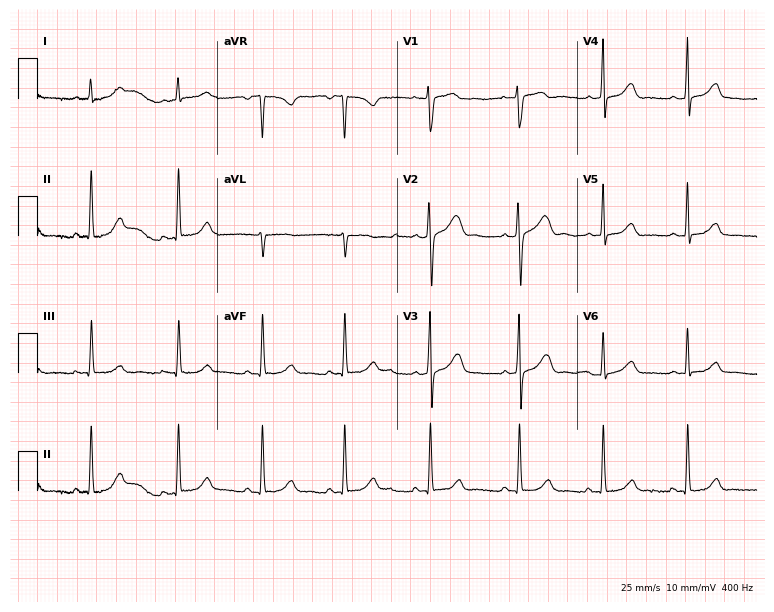
Standard 12-lead ECG recorded from a 25-year-old female (7.3-second recording at 400 Hz). None of these six findings is recorded: first-degree AV block, right bundle branch block (RBBB), left bundle branch block (LBBB), sinus bradycardia, atrial fibrillation (AF), sinus tachycardia.